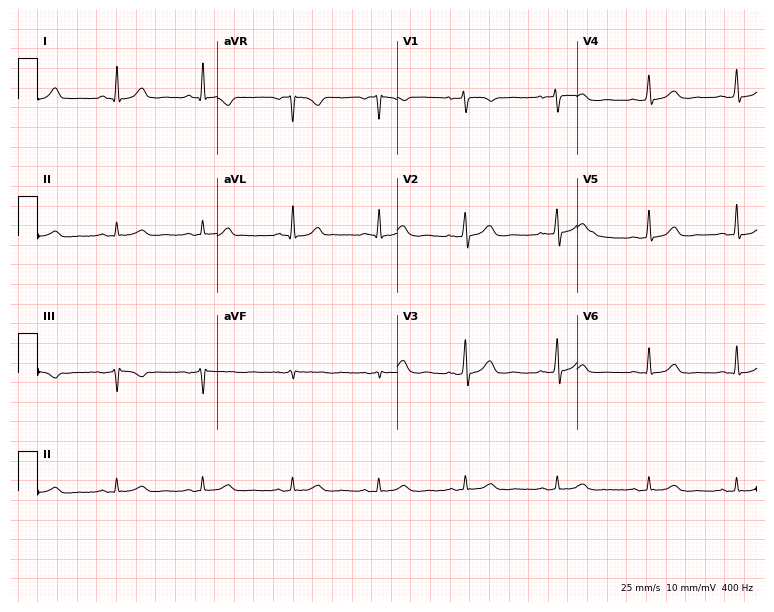
12-lead ECG (7.3-second recording at 400 Hz) from a woman, 42 years old. Screened for six findings — first-degree AV block, right bundle branch block, left bundle branch block, sinus bradycardia, atrial fibrillation, sinus tachycardia — none is recorded. Other findings, if any, are not listed.